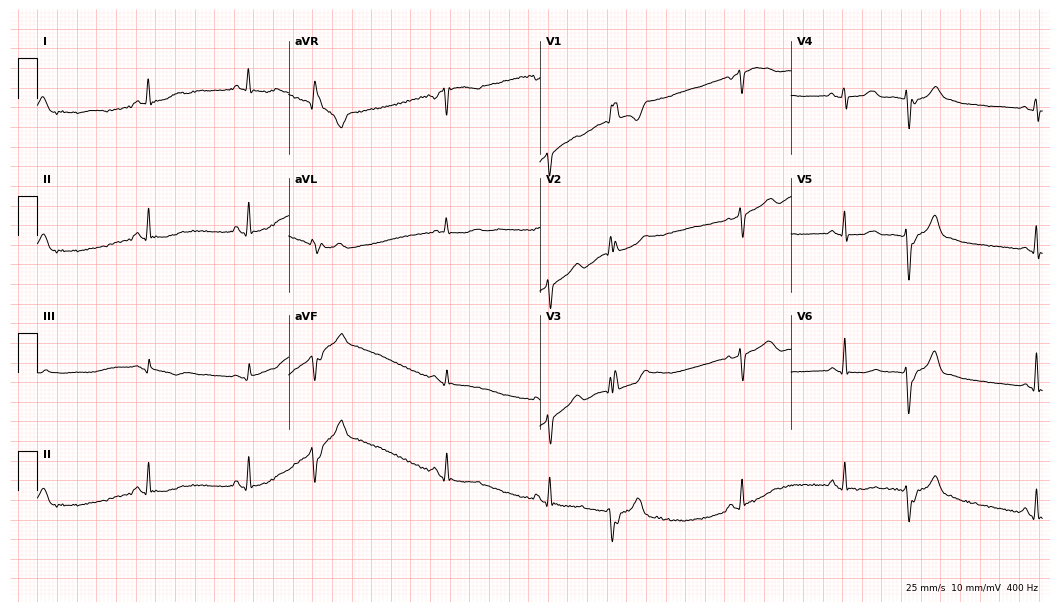
12-lead ECG from a 53-year-old female (10.2-second recording at 400 Hz). No first-degree AV block, right bundle branch block, left bundle branch block, sinus bradycardia, atrial fibrillation or sinus tachycardia recorded for this tracing.